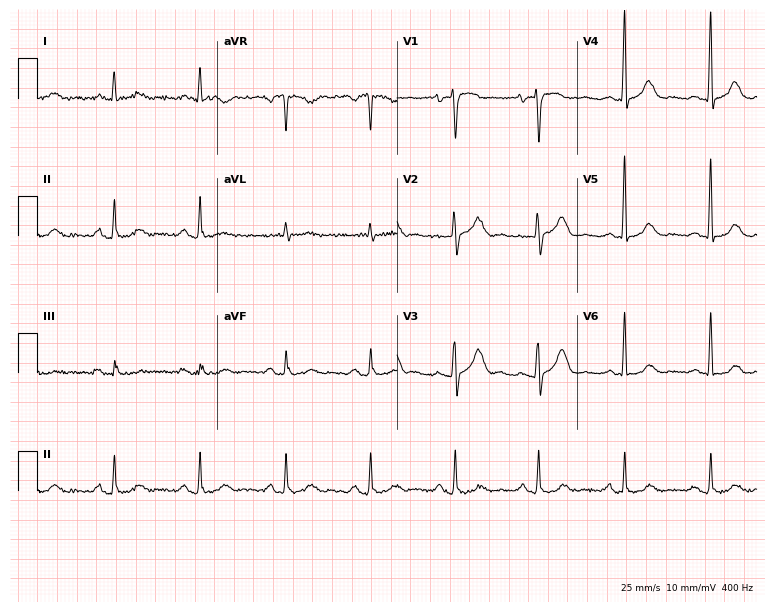
Resting 12-lead electrocardiogram (7.3-second recording at 400 Hz). Patient: a male, 83 years old. None of these six findings is recorded: first-degree AV block, right bundle branch block, left bundle branch block, sinus bradycardia, atrial fibrillation, sinus tachycardia.